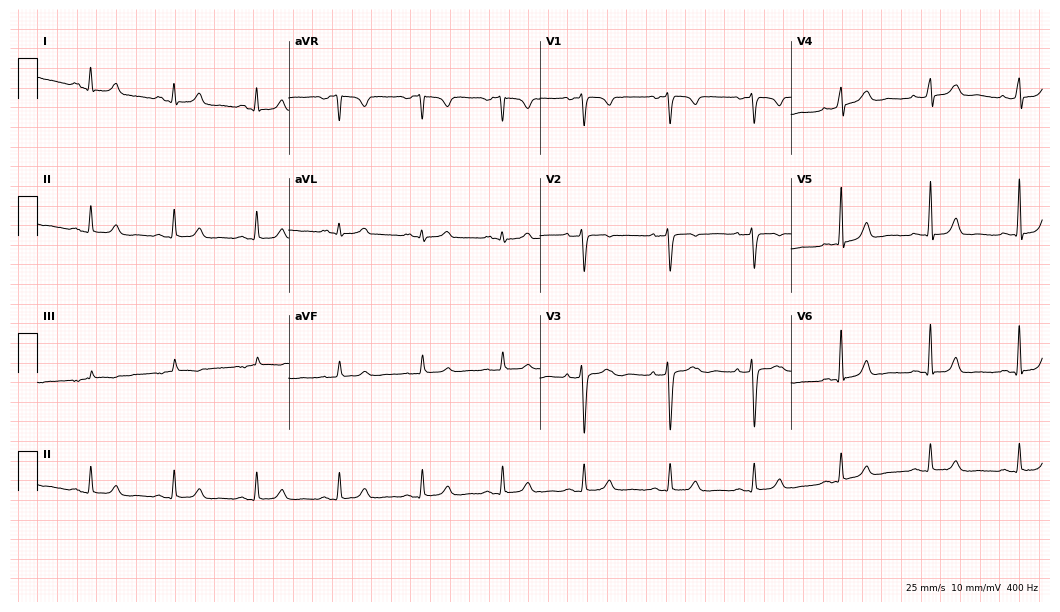
ECG (10.2-second recording at 400 Hz) — a female, 32 years old. Labelled as a normal ECG.